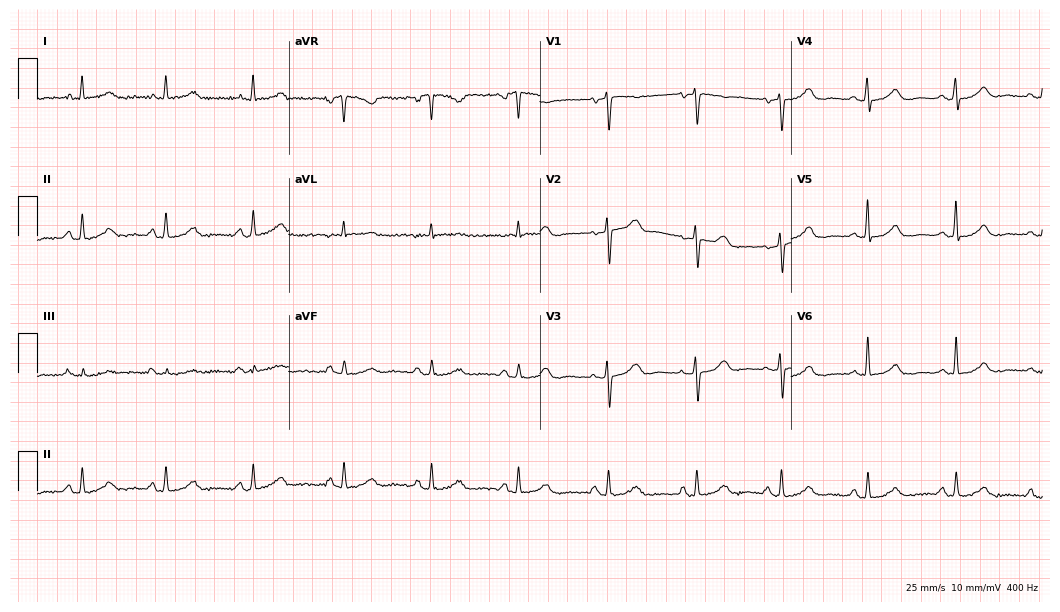
ECG (10.2-second recording at 400 Hz) — a 46-year-old woman. Screened for six findings — first-degree AV block, right bundle branch block (RBBB), left bundle branch block (LBBB), sinus bradycardia, atrial fibrillation (AF), sinus tachycardia — none is recorded. Findings outside these six are not listed.